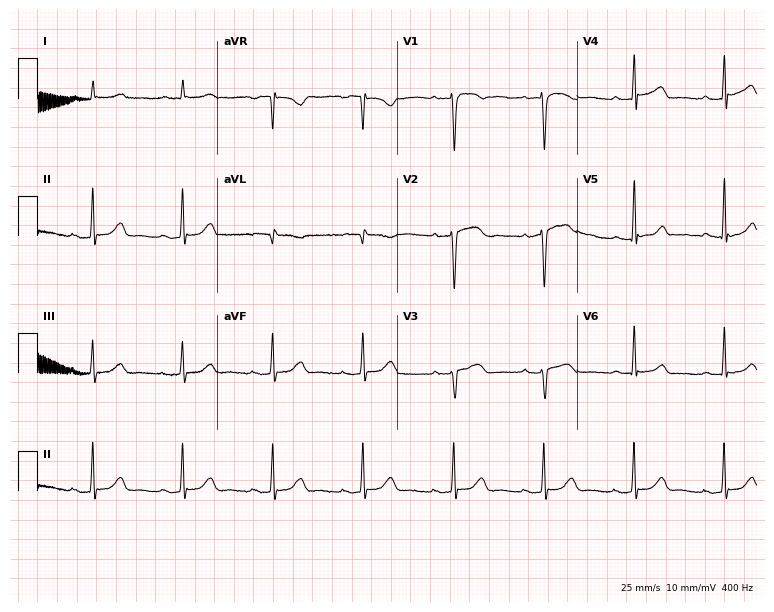
Electrocardiogram (7.3-second recording at 400 Hz), a 73-year-old male patient. Of the six screened findings (first-degree AV block, right bundle branch block, left bundle branch block, sinus bradycardia, atrial fibrillation, sinus tachycardia), none is recorded.